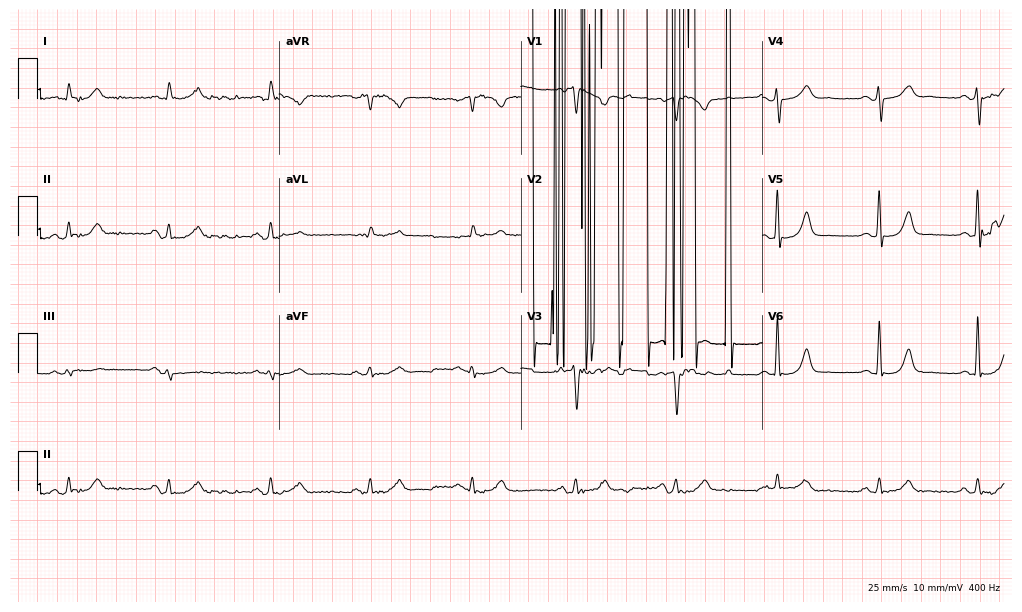
12-lead ECG from a female, 59 years old (9.9-second recording at 400 Hz). No first-degree AV block, right bundle branch block, left bundle branch block, sinus bradycardia, atrial fibrillation or sinus tachycardia recorded for this tracing. Only these six findings were labelled.